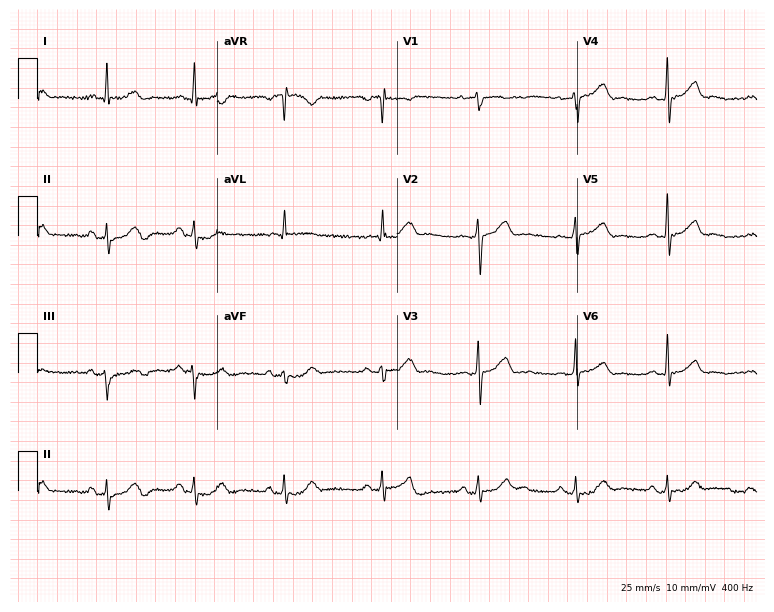
Standard 12-lead ECG recorded from a woman, 78 years old (7.3-second recording at 400 Hz). Read as a normal ECG.